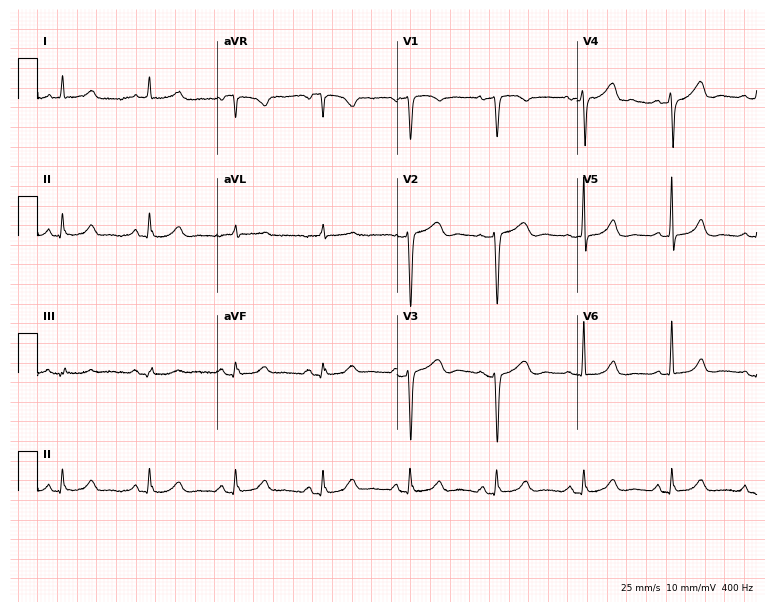
Electrocardiogram, a 64-year-old woman. Of the six screened findings (first-degree AV block, right bundle branch block (RBBB), left bundle branch block (LBBB), sinus bradycardia, atrial fibrillation (AF), sinus tachycardia), none is recorded.